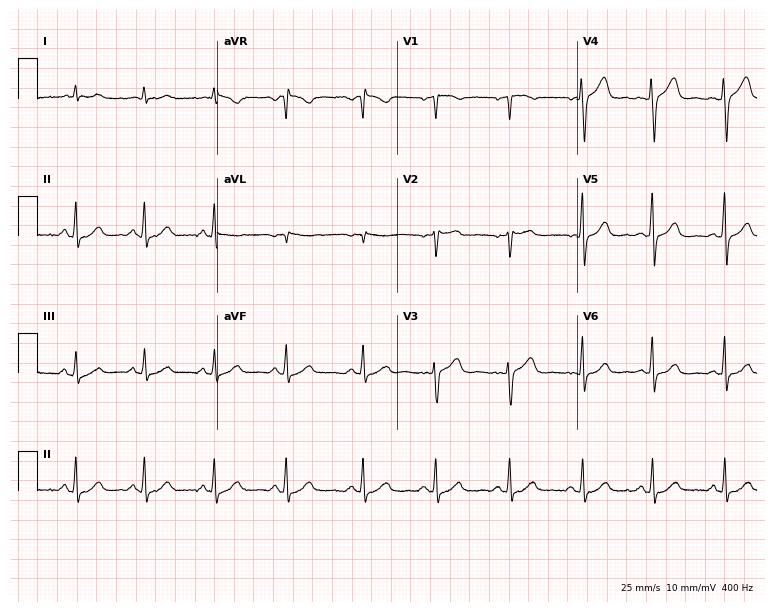
Standard 12-lead ECG recorded from a female, 41 years old. None of these six findings is recorded: first-degree AV block, right bundle branch block, left bundle branch block, sinus bradycardia, atrial fibrillation, sinus tachycardia.